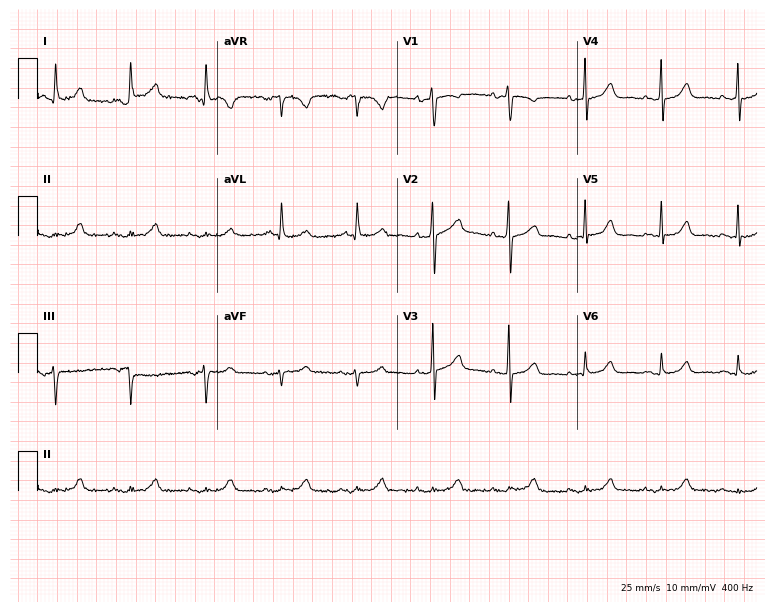
Resting 12-lead electrocardiogram (7.3-second recording at 400 Hz). Patient: a 78-year-old male. None of these six findings is recorded: first-degree AV block, right bundle branch block, left bundle branch block, sinus bradycardia, atrial fibrillation, sinus tachycardia.